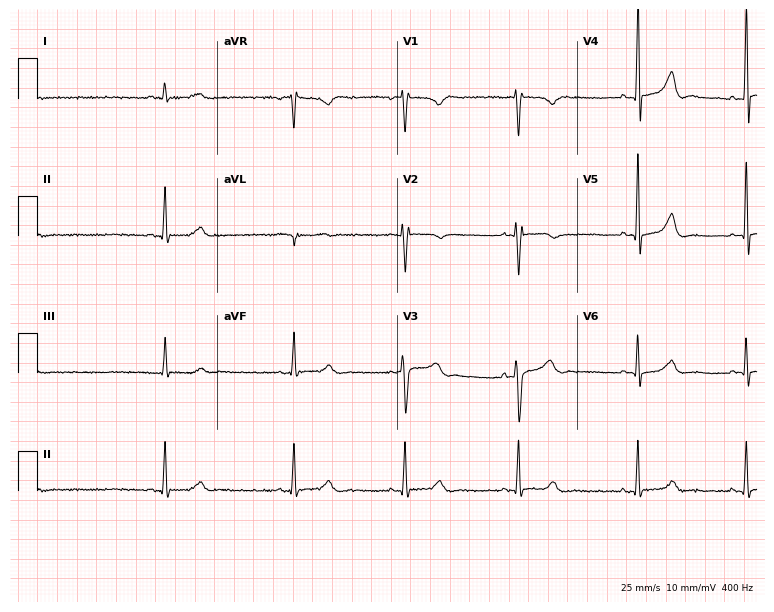
ECG — a 23-year-old man. Labelled as a normal ECG.